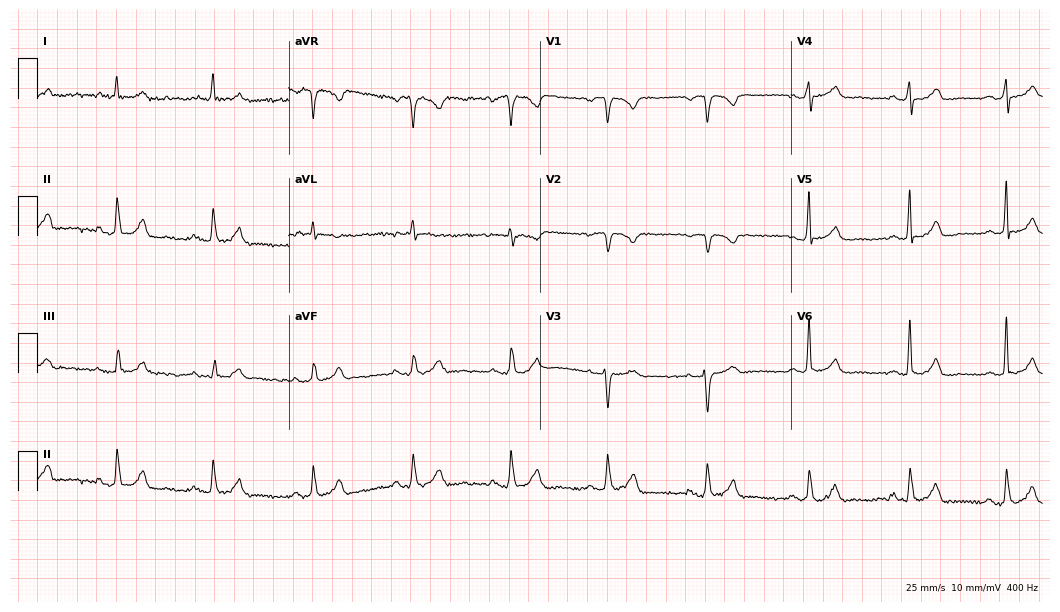
Standard 12-lead ECG recorded from a 72-year-old man (10.2-second recording at 400 Hz). None of these six findings is recorded: first-degree AV block, right bundle branch block, left bundle branch block, sinus bradycardia, atrial fibrillation, sinus tachycardia. Findings outside these six are not listed.